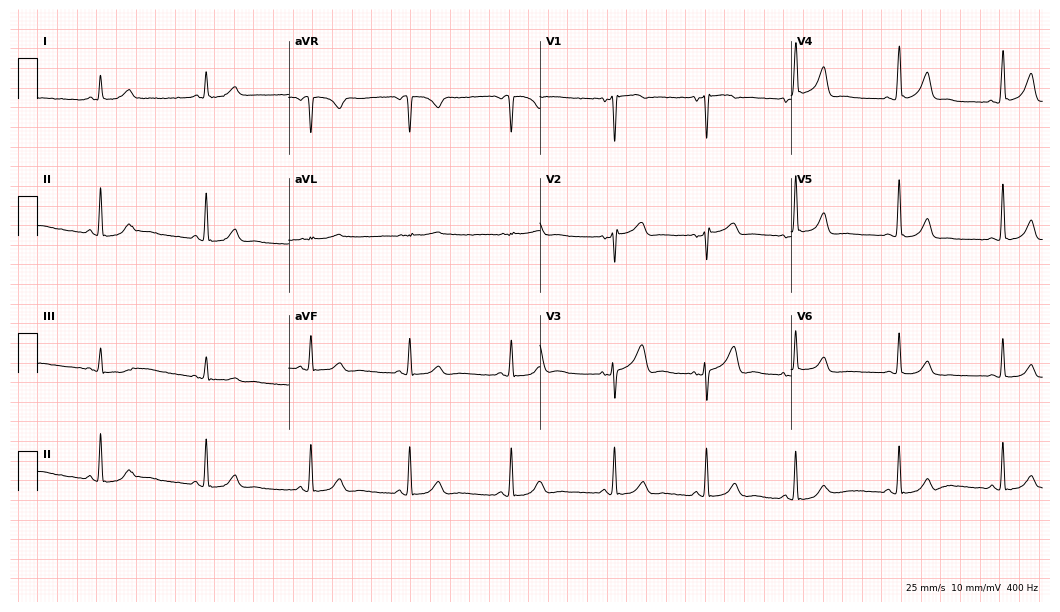
12-lead ECG from a woman, 42 years old (10.2-second recording at 400 Hz). Recorded interpretation: within normal limits.